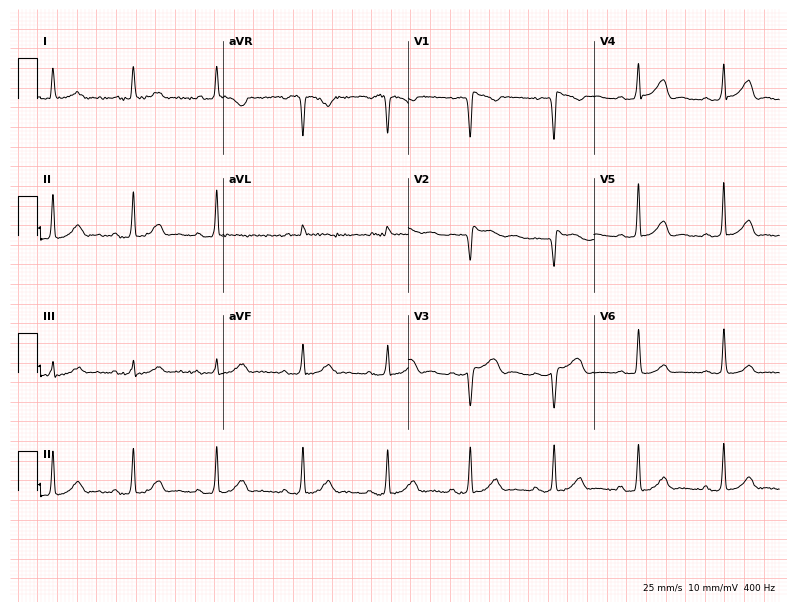
Standard 12-lead ECG recorded from a 42-year-old female patient. None of these six findings is recorded: first-degree AV block, right bundle branch block (RBBB), left bundle branch block (LBBB), sinus bradycardia, atrial fibrillation (AF), sinus tachycardia.